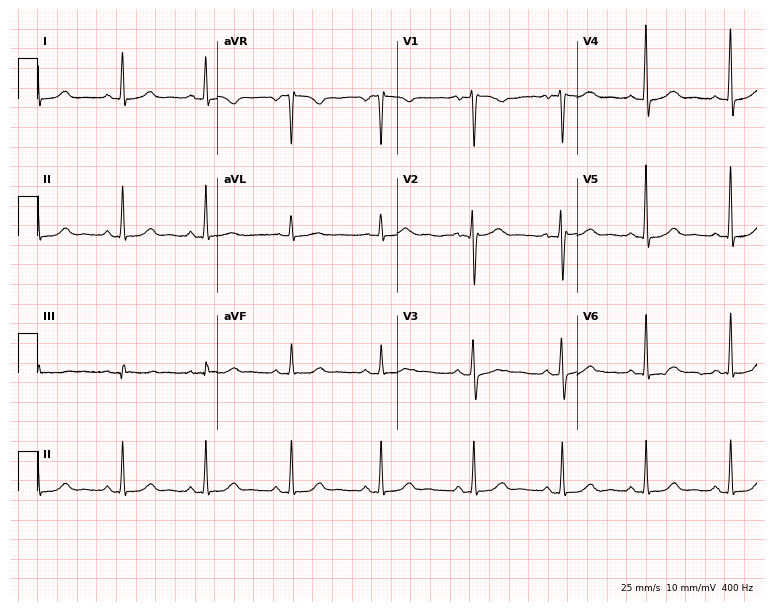
Electrocardiogram (7.3-second recording at 400 Hz), a woman, 42 years old. Overall reading on record: normal ECG.